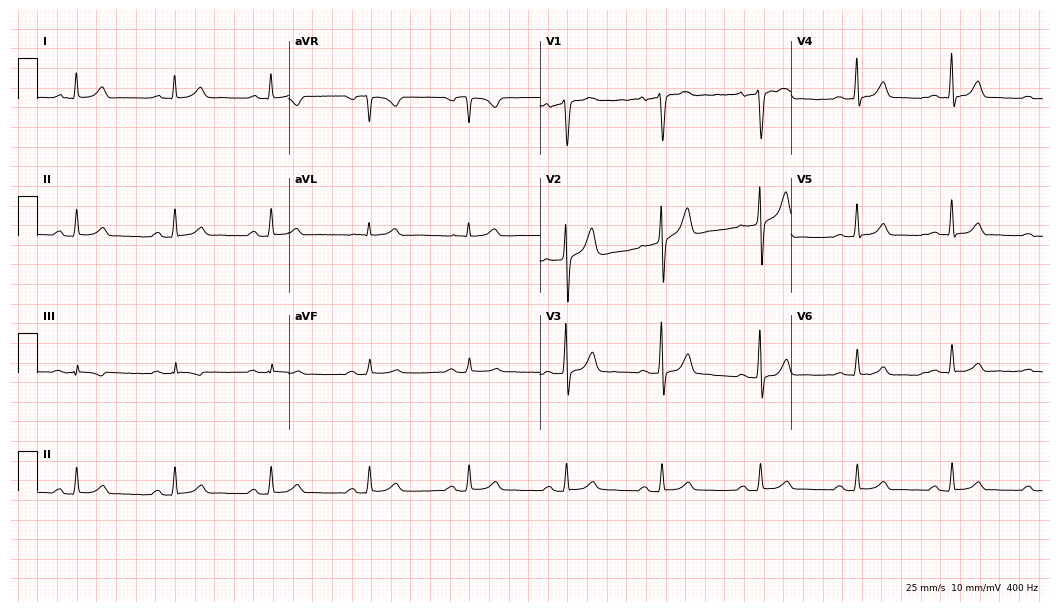
ECG — a 57-year-old male patient. Labelled as a normal ECG.